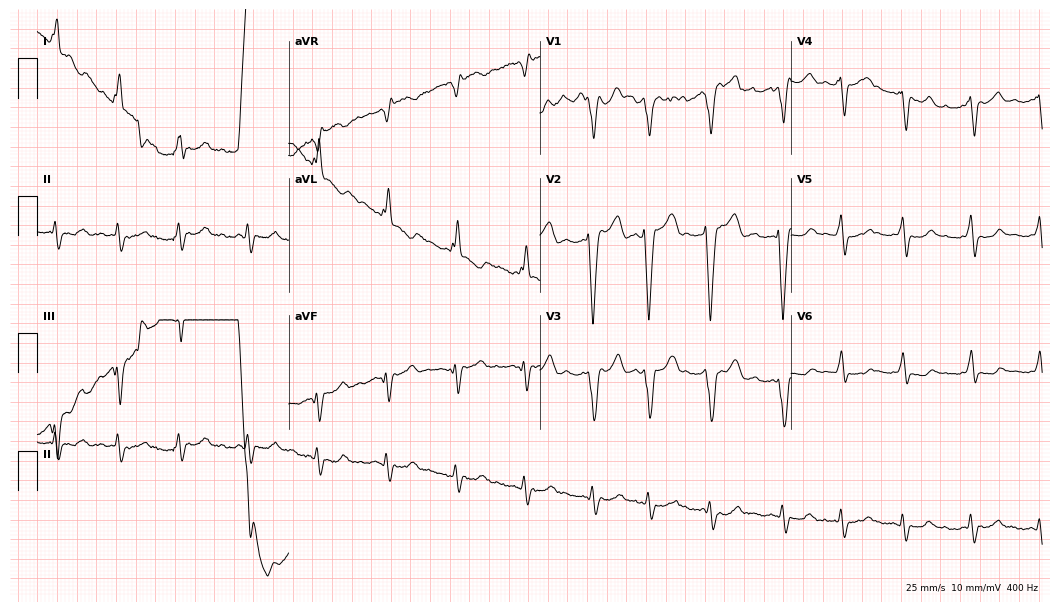
Resting 12-lead electrocardiogram. Patient: a 74-year-old man. None of these six findings is recorded: first-degree AV block, right bundle branch block, left bundle branch block, sinus bradycardia, atrial fibrillation, sinus tachycardia.